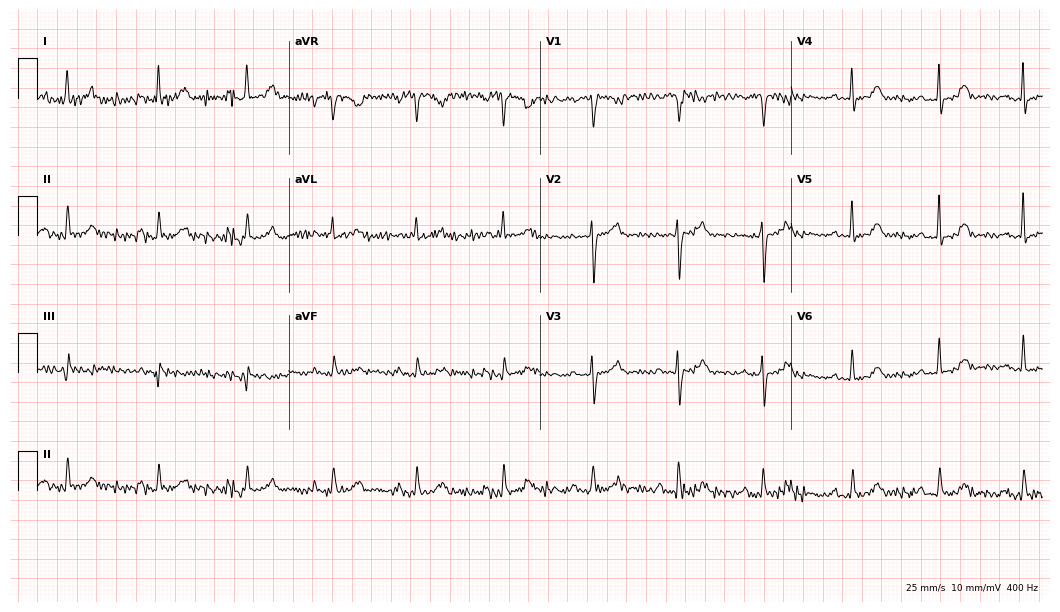
12-lead ECG from a female patient, 74 years old. Recorded interpretation: within normal limits.